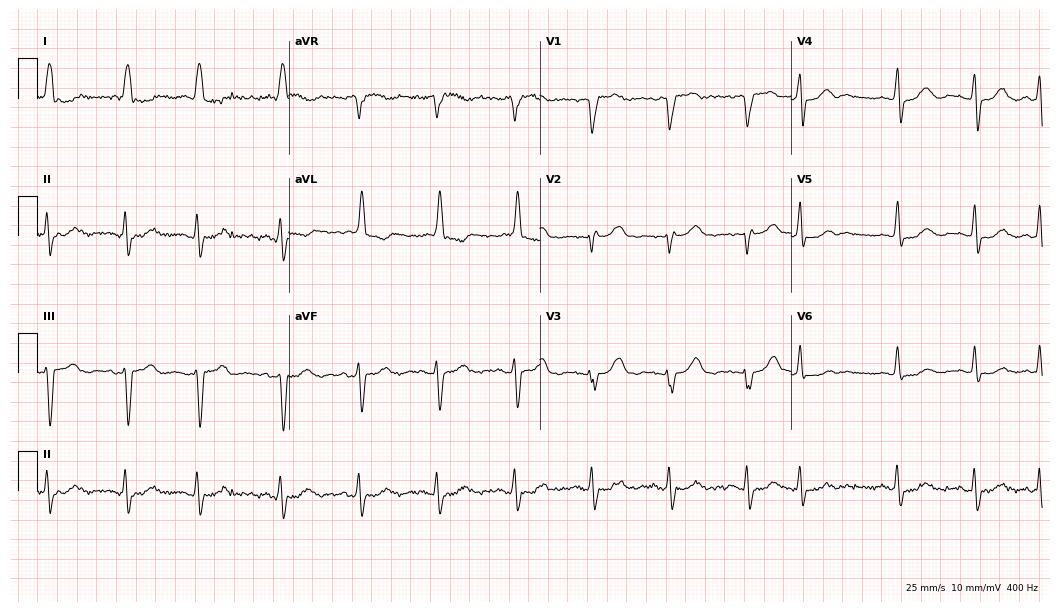
Electrocardiogram (10.2-second recording at 400 Hz), a female patient, 83 years old. Of the six screened findings (first-degree AV block, right bundle branch block, left bundle branch block, sinus bradycardia, atrial fibrillation, sinus tachycardia), none is recorded. Only these six findings were labelled.